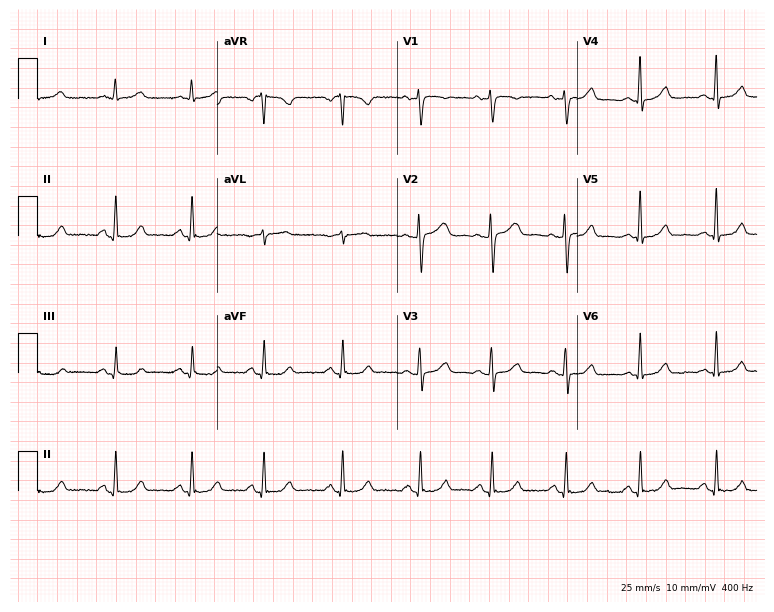
12-lead ECG from a 59-year-old woman. Labelled as a normal ECG.